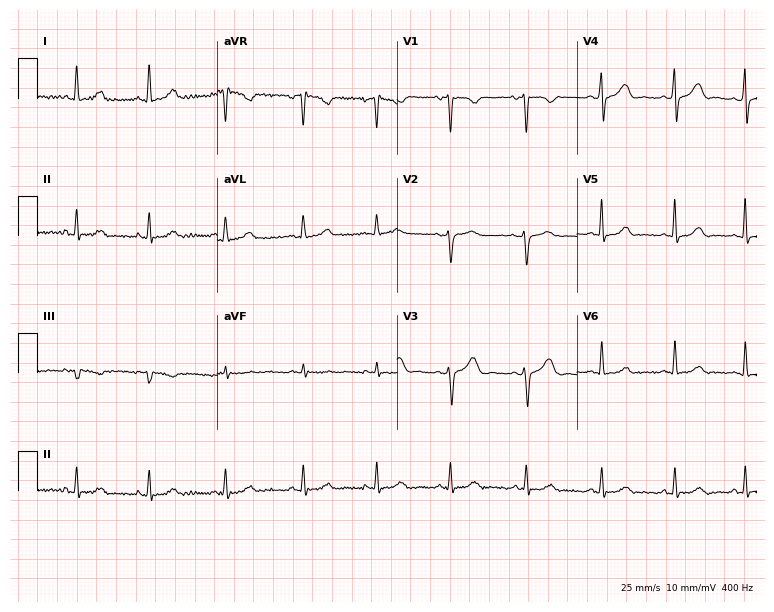
12-lead ECG from a female patient, 26 years old. No first-degree AV block, right bundle branch block (RBBB), left bundle branch block (LBBB), sinus bradycardia, atrial fibrillation (AF) or sinus tachycardia recorded for this tracing.